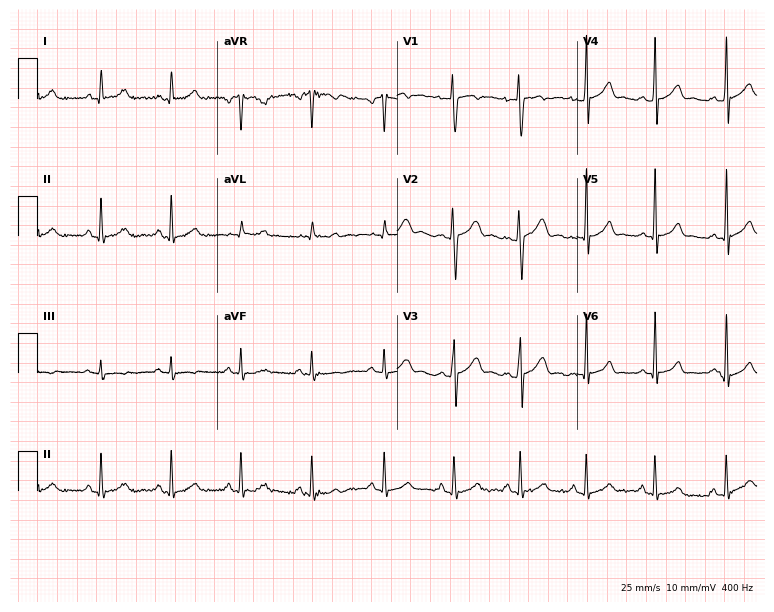
Electrocardiogram, a 24-year-old female. Overall reading on record: normal ECG.